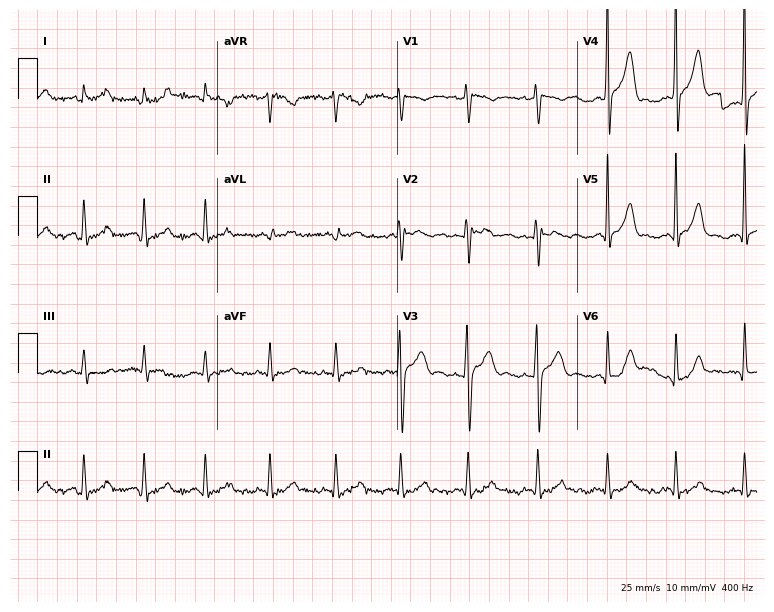
Standard 12-lead ECG recorded from a man, 30 years old. None of these six findings is recorded: first-degree AV block, right bundle branch block (RBBB), left bundle branch block (LBBB), sinus bradycardia, atrial fibrillation (AF), sinus tachycardia.